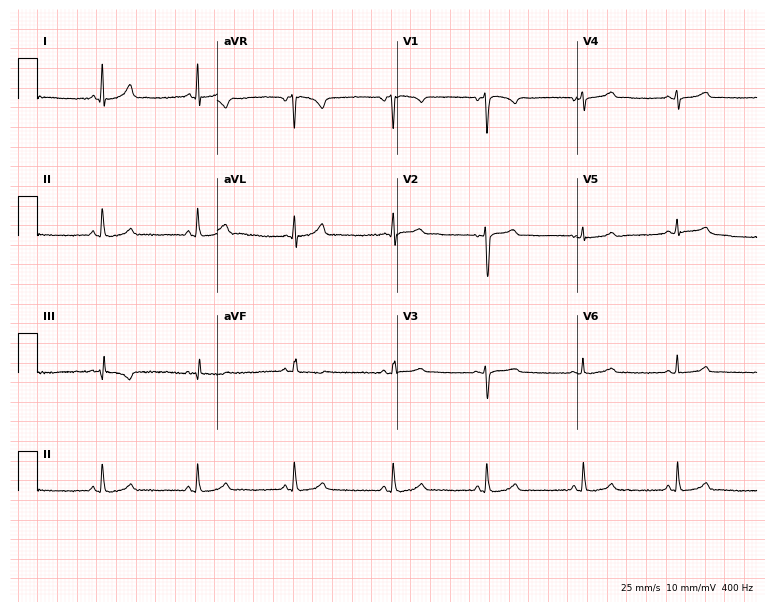
ECG — a 51-year-old man. Labelled as a normal ECG.